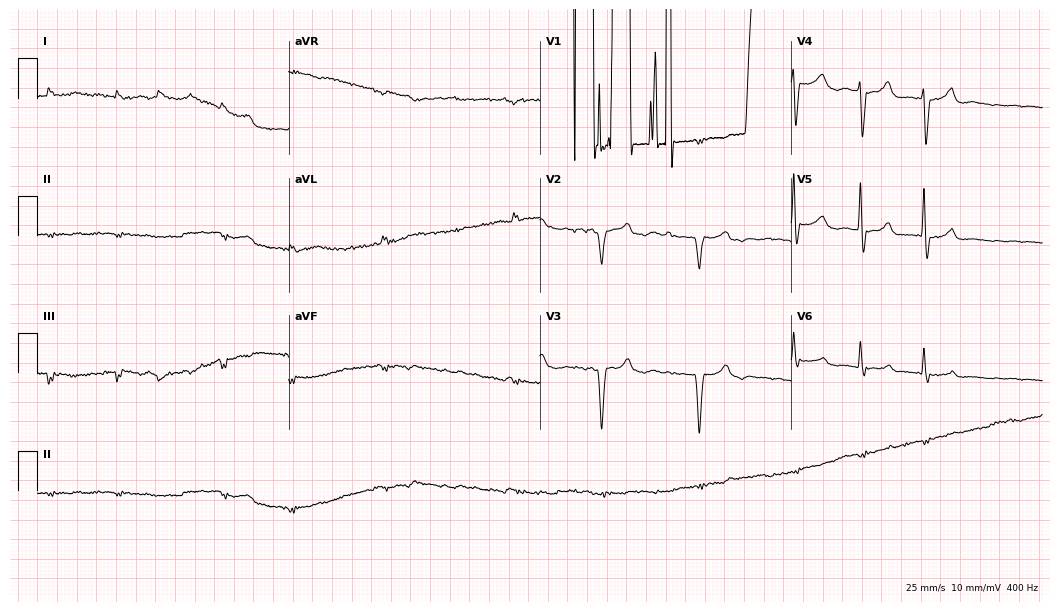
Standard 12-lead ECG recorded from a male patient, 79 years old. None of these six findings is recorded: first-degree AV block, right bundle branch block, left bundle branch block, sinus bradycardia, atrial fibrillation, sinus tachycardia. Other findings, if any, are not listed.